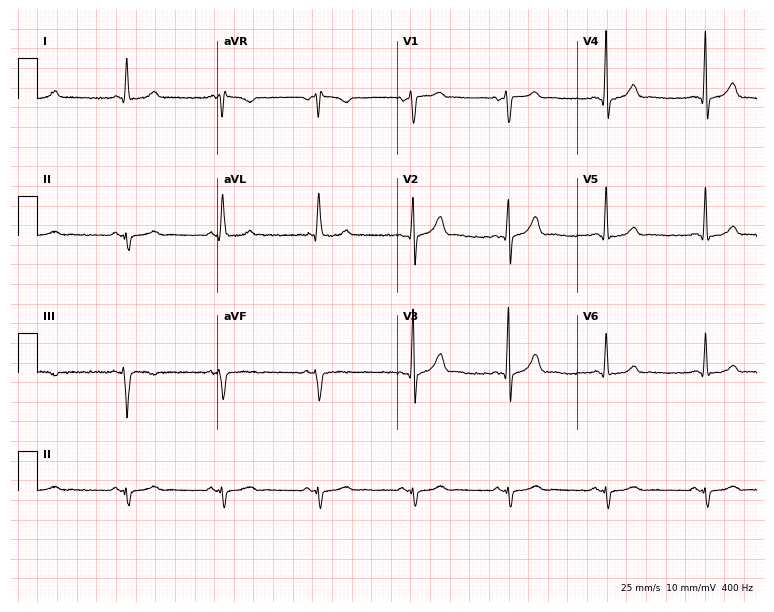
12-lead ECG from a male patient, 53 years old. No first-degree AV block, right bundle branch block, left bundle branch block, sinus bradycardia, atrial fibrillation or sinus tachycardia recorded for this tracing. Other findings, if any, are not listed.